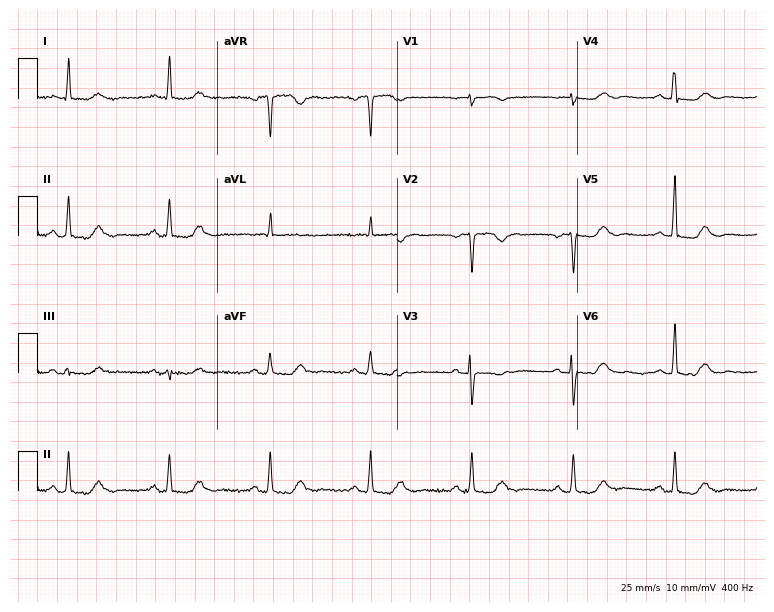
12-lead ECG from an 83-year-old woman (7.3-second recording at 400 Hz). Recorded interpretation: within normal limits.